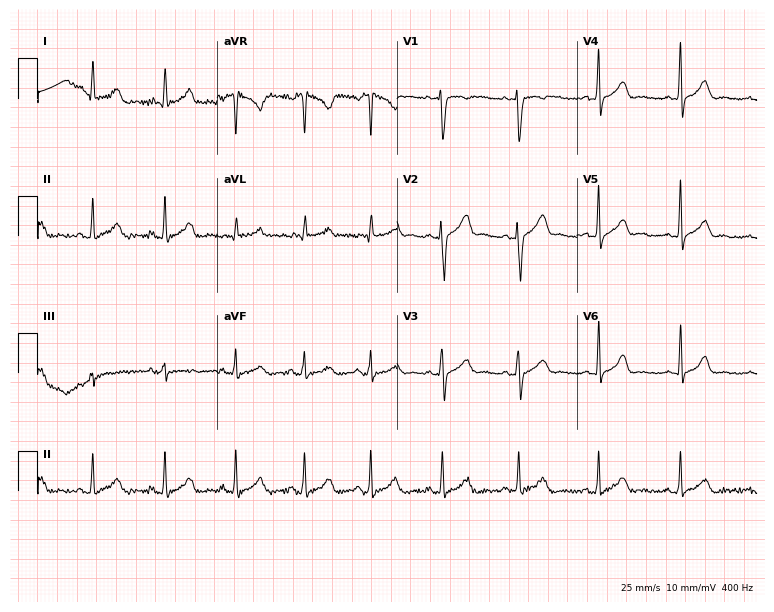
12-lead ECG (7.3-second recording at 400 Hz) from a 31-year-old woman. Labelled as a normal ECG.